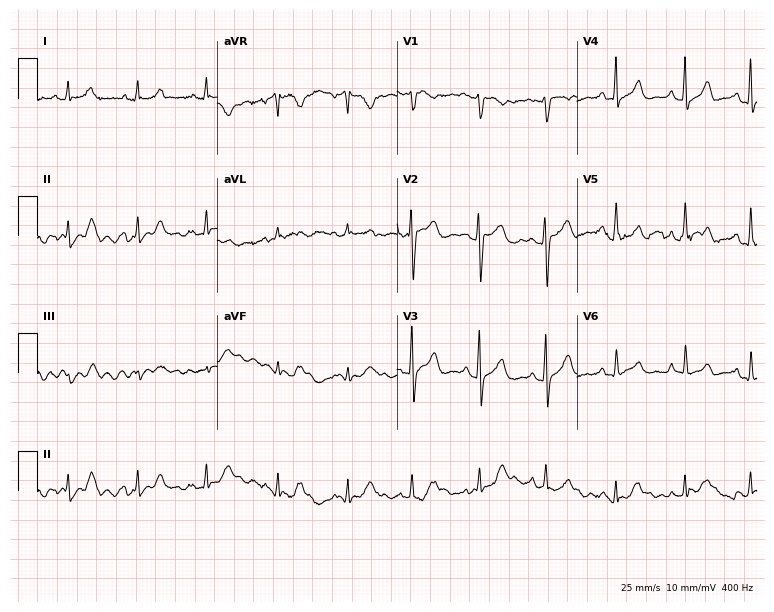
Standard 12-lead ECG recorded from a 37-year-old female patient. None of these six findings is recorded: first-degree AV block, right bundle branch block (RBBB), left bundle branch block (LBBB), sinus bradycardia, atrial fibrillation (AF), sinus tachycardia. Only these six findings were labelled.